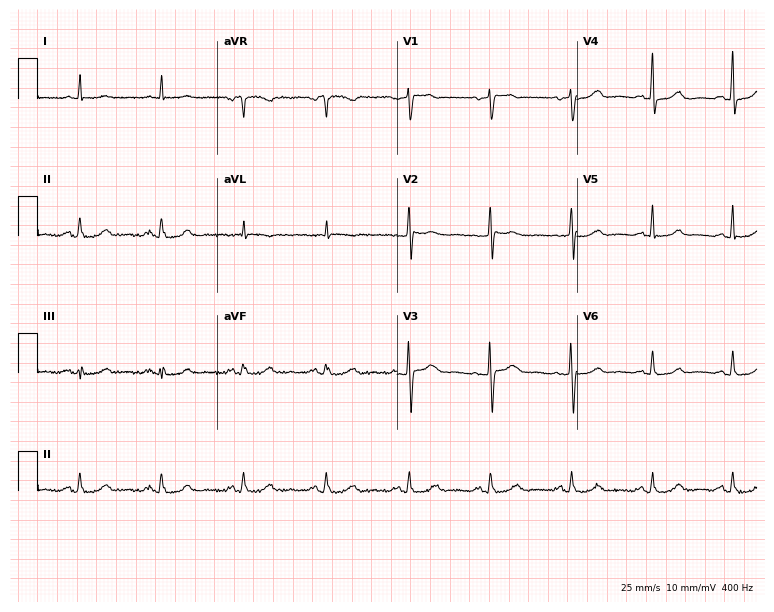
ECG — a woman, 61 years old. Screened for six findings — first-degree AV block, right bundle branch block, left bundle branch block, sinus bradycardia, atrial fibrillation, sinus tachycardia — none is recorded.